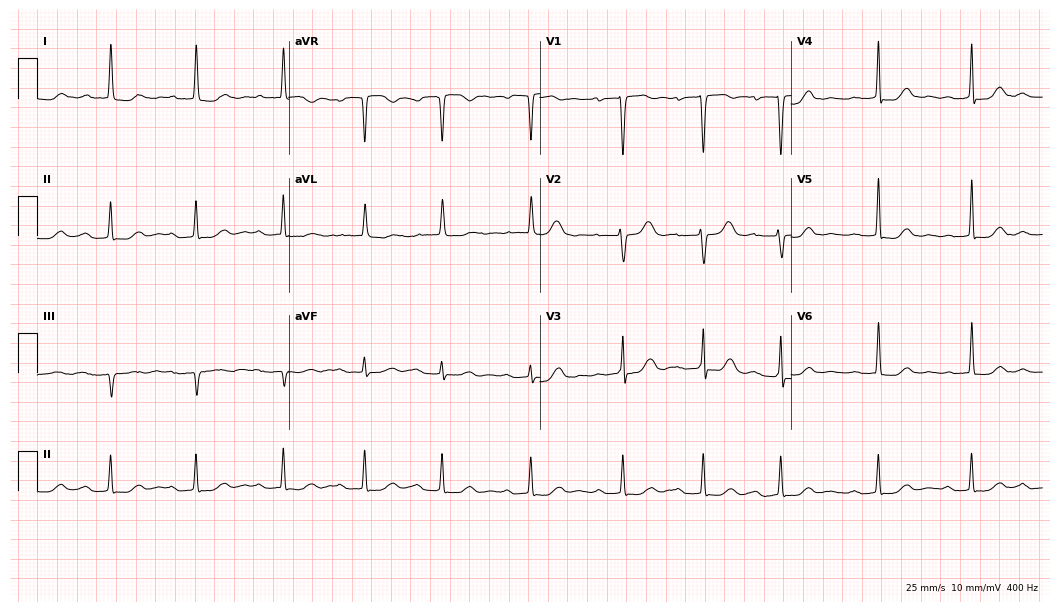
ECG (10.2-second recording at 400 Hz) — a 76-year-old female patient. Findings include first-degree AV block.